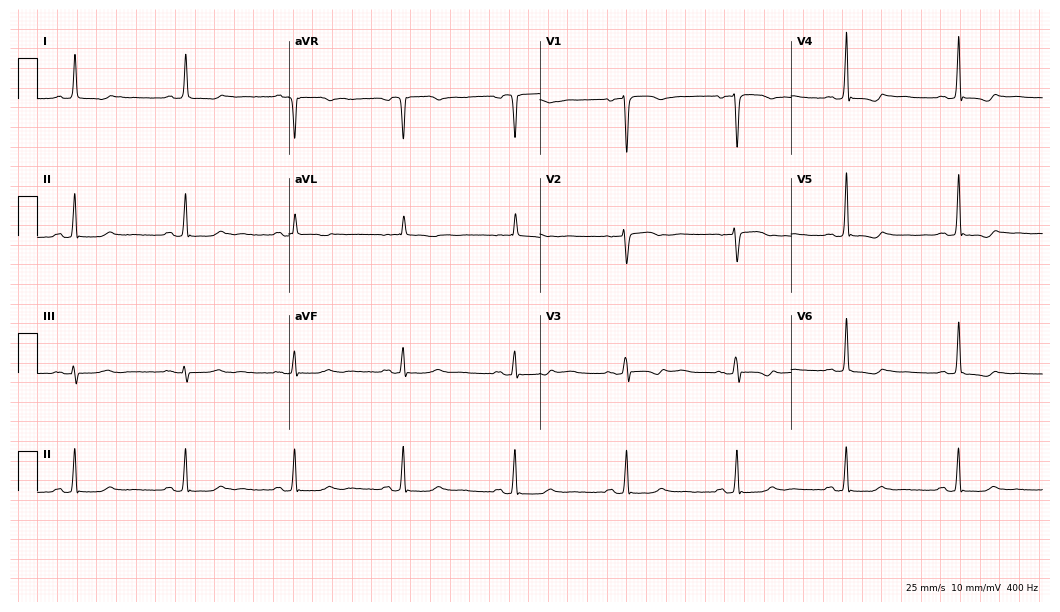
Electrocardiogram, a 59-year-old female patient. Of the six screened findings (first-degree AV block, right bundle branch block (RBBB), left bundle branch block (LBBB), sinus bradycardia, atrial fibrillation (AF), sinus tachycardia), none is recorded.